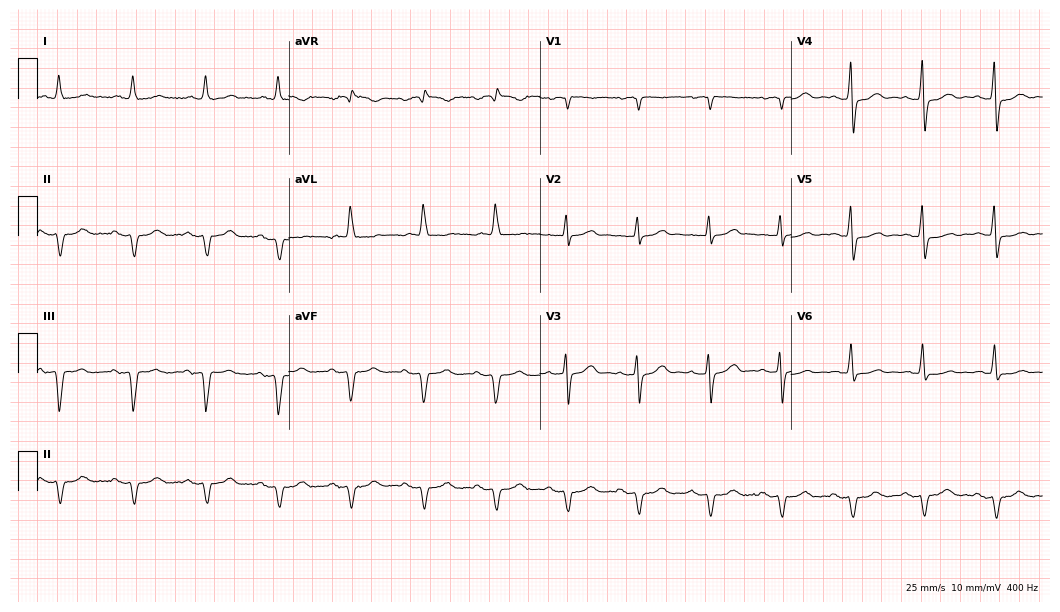
Standard 12-lead ECG recorded from a male, 76 years old. None of these six findings is recorded: first-degree AV block, right bundle branch block (RBBB), left bundle branch block (LBBB), sinus bradycardia, atrial fibrillation (AF), sinus tachycardia.